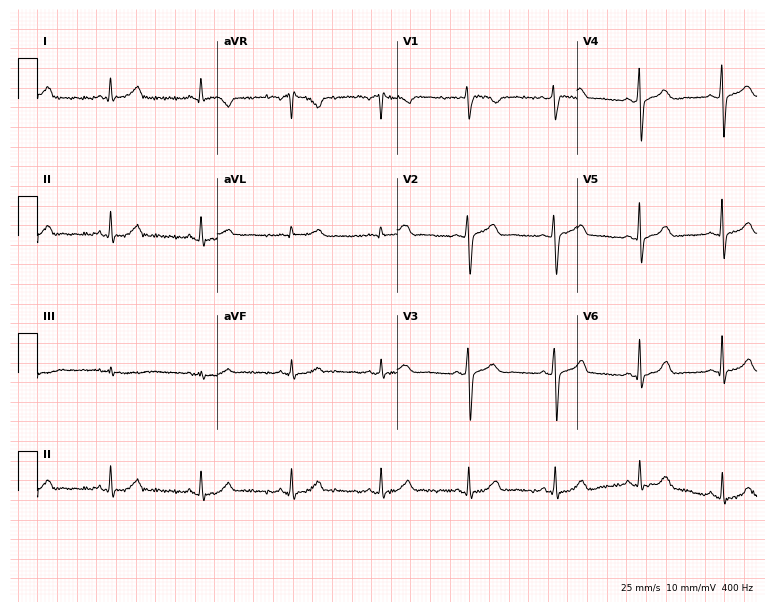
12-lead ECG from a 44-year-old woman. Labelled as a normal ECG.